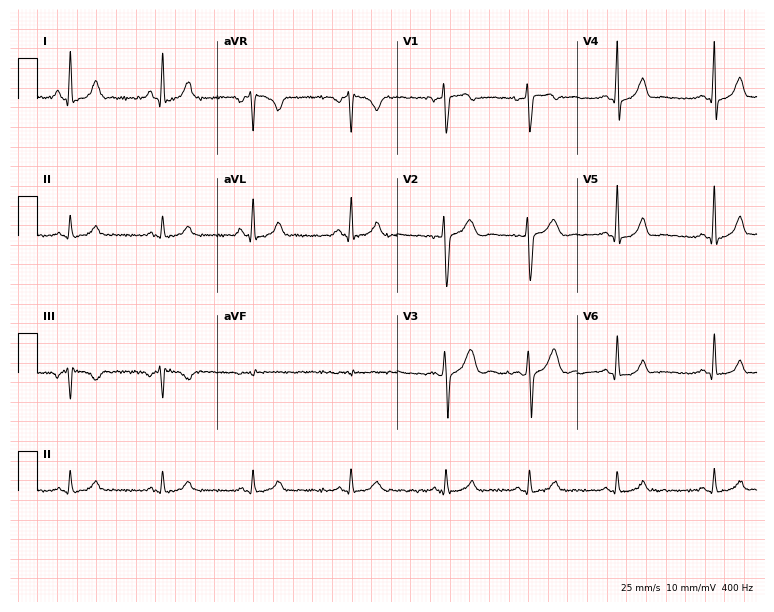
12-lead ECG from a female, 18 years old. No first-degree AV block, right bundle branch block (RBBB), left bundle branch block (LBBB), sinus bradycardia, atrial fibrillation (AF) or sinus tachycardia recorded for this tracing.